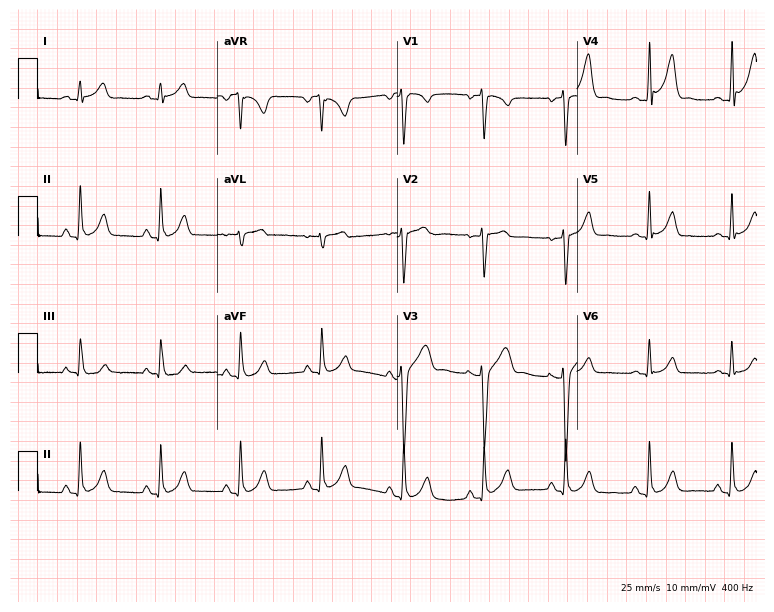
Electrocardiogram, a male patient, 26 years old. Overall reading on record: normal ECG.